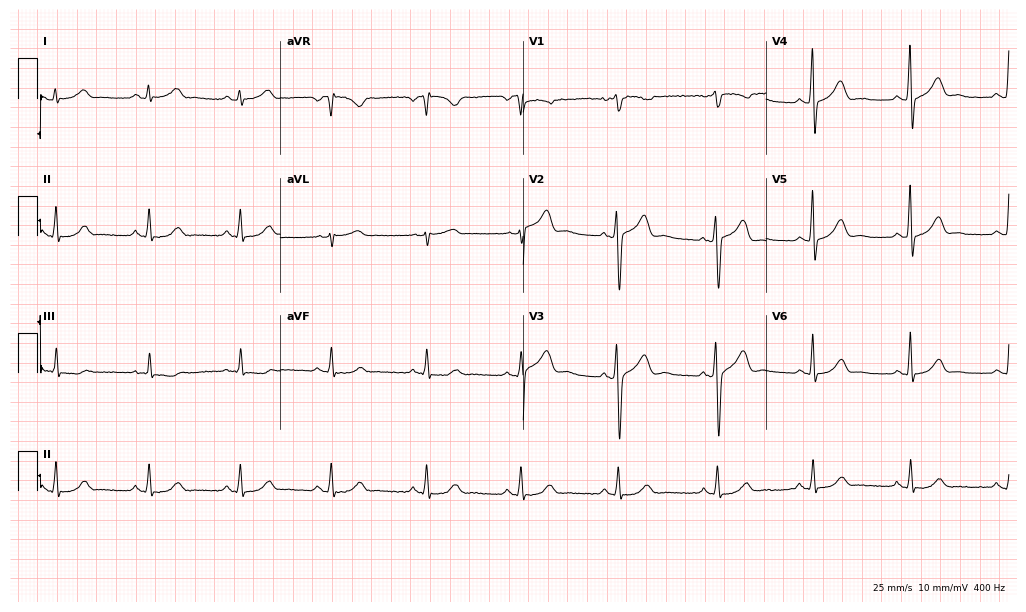
Electrocardiogram (9.9-second recording at 400 Hz), a 46-year-old man. Overall reading on record: normal ECG.